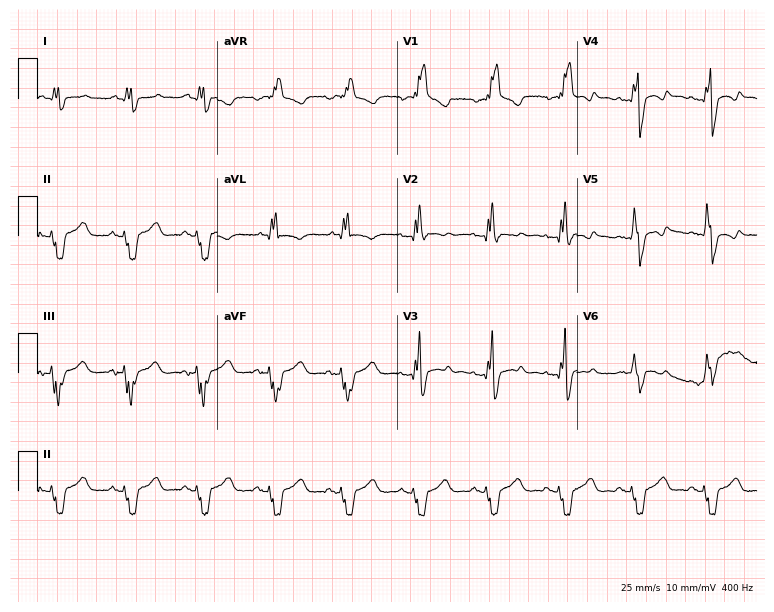
ECG — a male, 40 years old. Findings include right bundle branch block.